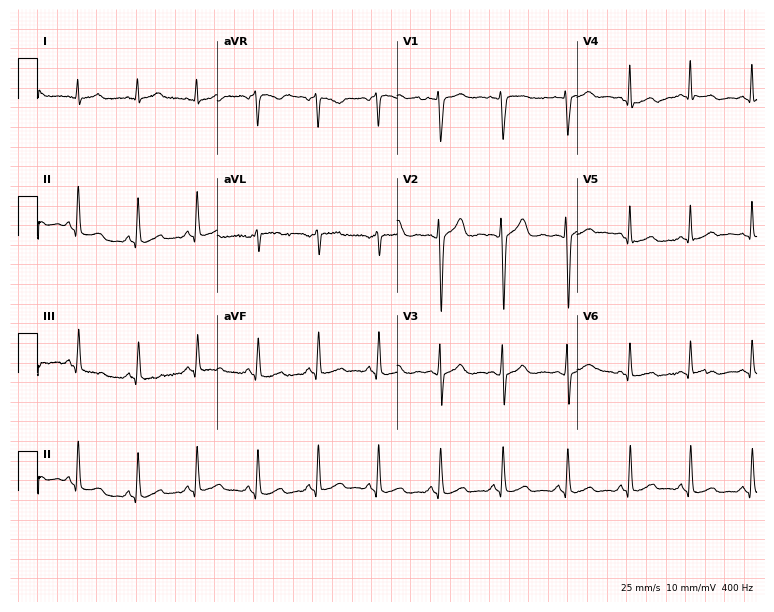
12-lead ECG from a woman, 29 years old. Labelled as a normal ECG.